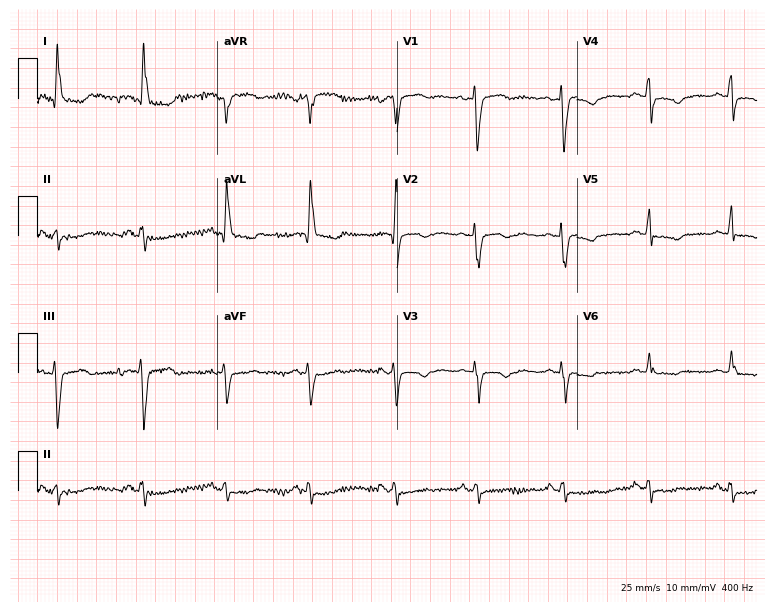
Resting 12-lead electrocardiogram (7.3-second recording at 400 Hz). Patient: a woman, 76 years old. None of these six findings is recorded: first-degree AV block, right bundle branch block, left bundle branch block, sinus bradycardia, atrial fibrillation, sinus tachycardia.